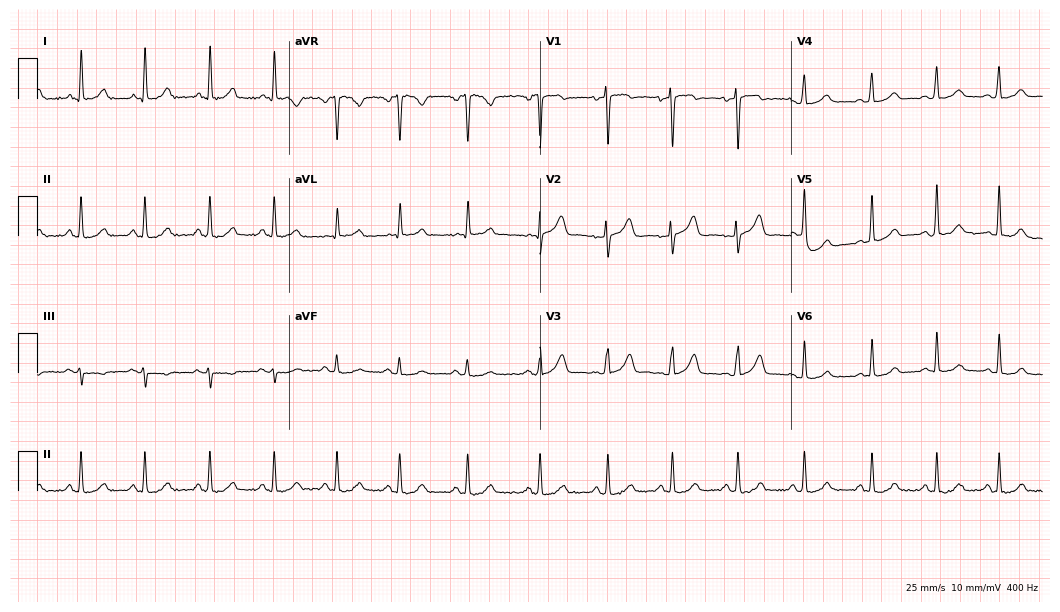
Electrocardiogram (10.2-second recording at 400 Hz), a 33-year-old female patient. Overall reading on record: normal ECG.